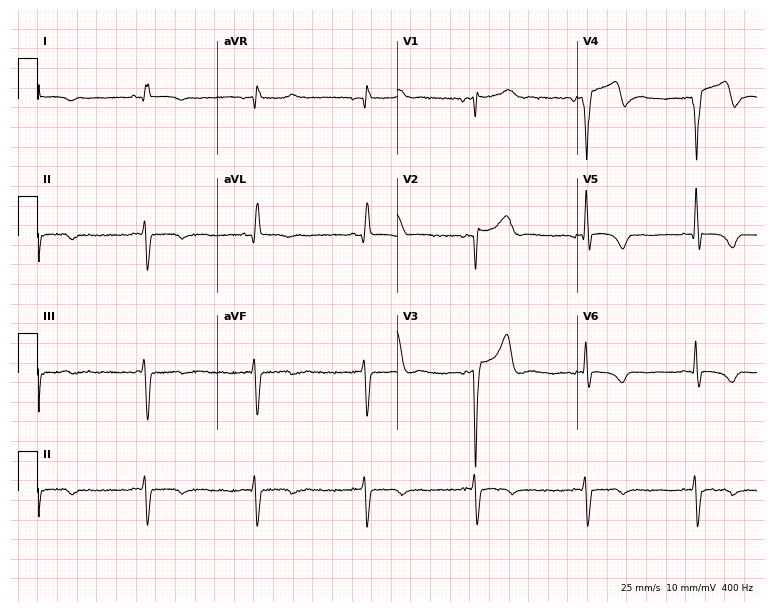
Electrocardiogram, a 64-year-old man. Of the six screened findings (first-degree AV block, right bundle branch block (RBBB), left bundle branch block (LBBB), sinus bradycardia, atrial fibrillation (AF), sinus tachycardia), none is recorded.